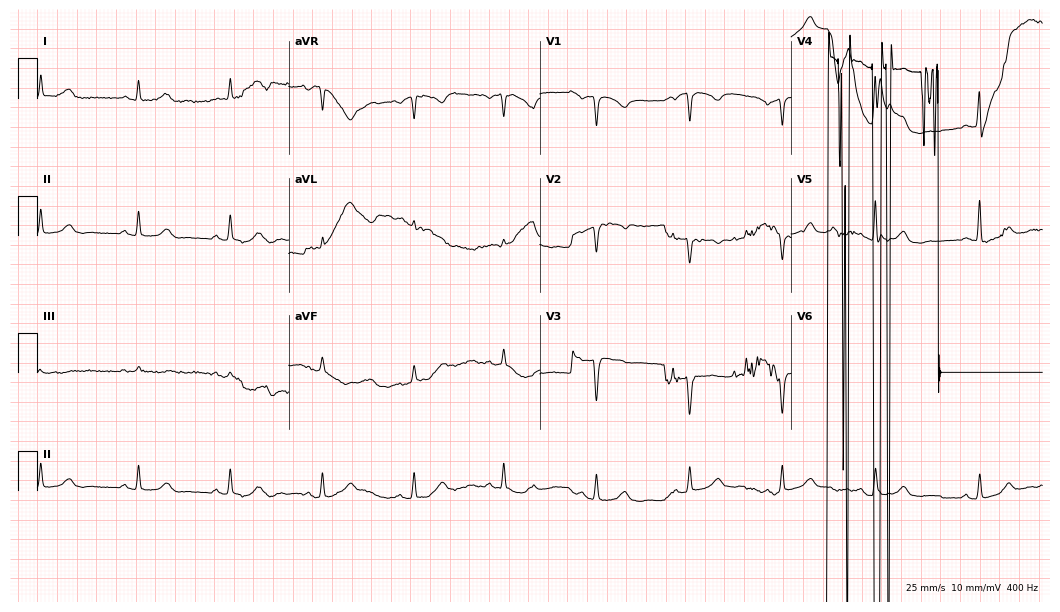
12-lead ECG from a 49-year-old female patient (10.2-second recording at 400 Hz). No first-degree AV block, right bundle branch block, left bundle branch block, sinus bradycardia, atrial fibrillation or sinus tachycardia recorded for this tracing.